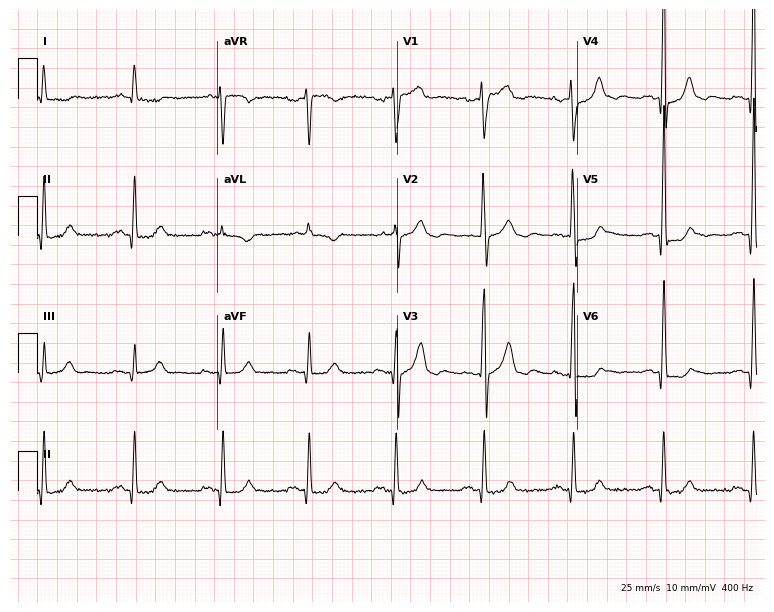
Standard 12-lead ECG recorded from a male, 76 years old (7.3-second recording at 400 Hz). None of these six findings is recorded: first-degree AV block, right bundle branch block (RBBB), left bundle branch block (LBBB), sinus bradycardia, atrial fibrillation (AF), sinus tachycardia.